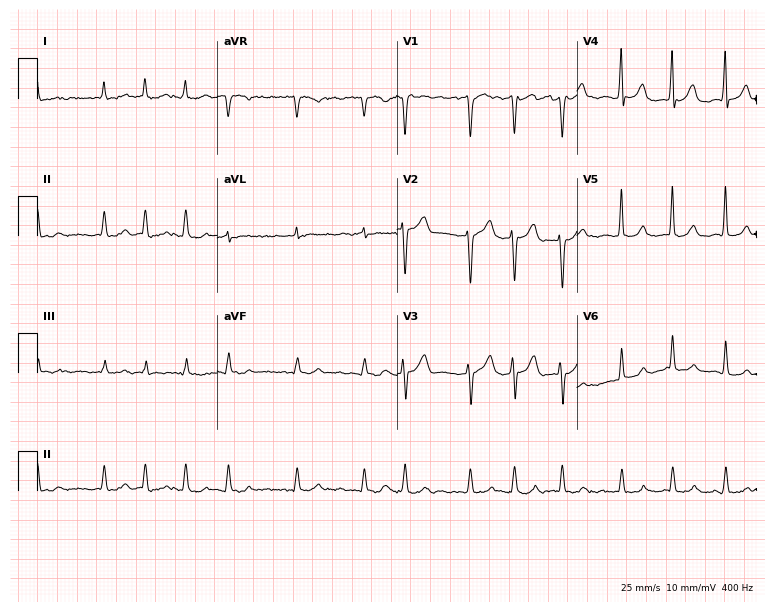
Standard 12-lead ECG recorded from a 76-year-old male patient. The tracing shows atrial fibrillation.